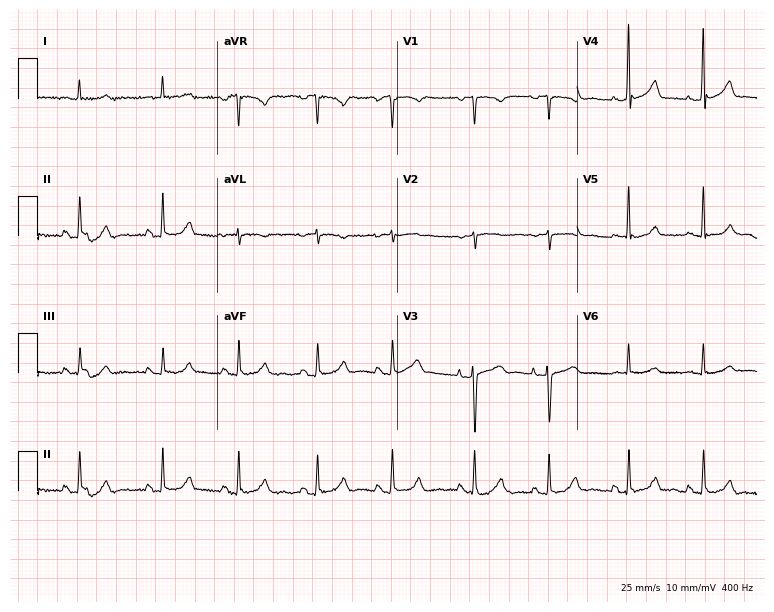
Electrocardiogram, an 82-year-old female. Overall reading on record: normal ECG.